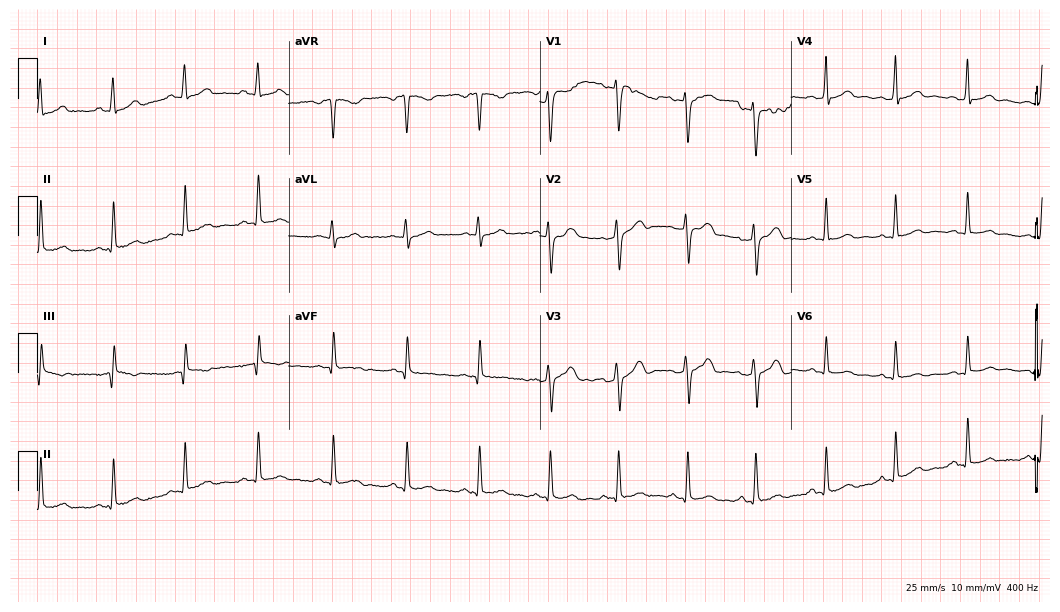
ECG — a 37-year-old female patient. Labelled as a normal ECG.